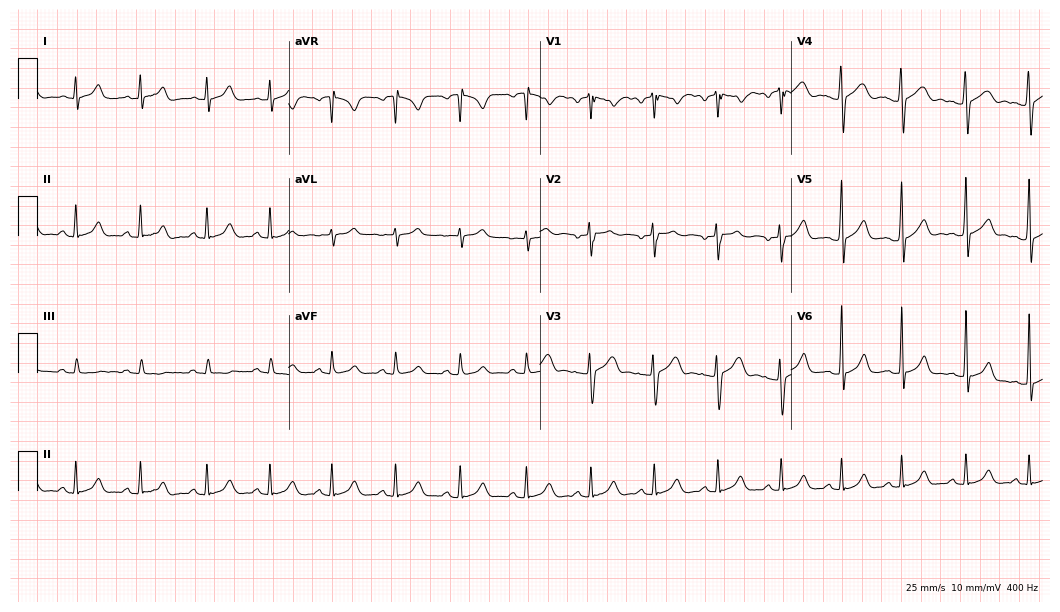
Electrocardiogram (10.2-second recording at 400 Hz), a male patient, 21 years old. Overall reading on record: normal ECG.